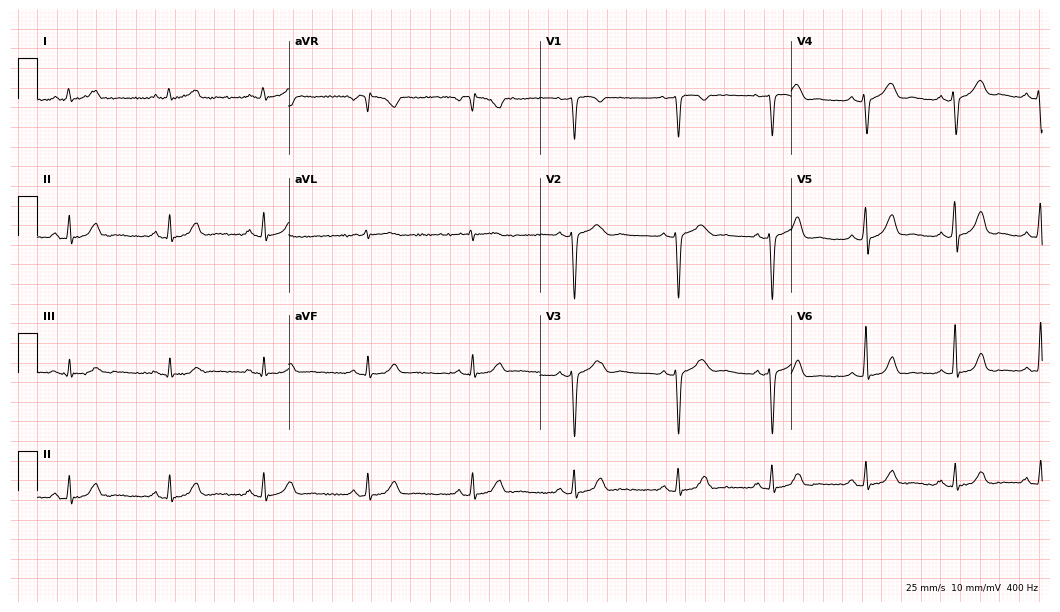
Resting 12-lead electrocardiogram. Patient: a female, 34 years old. Read as a normal ECG.